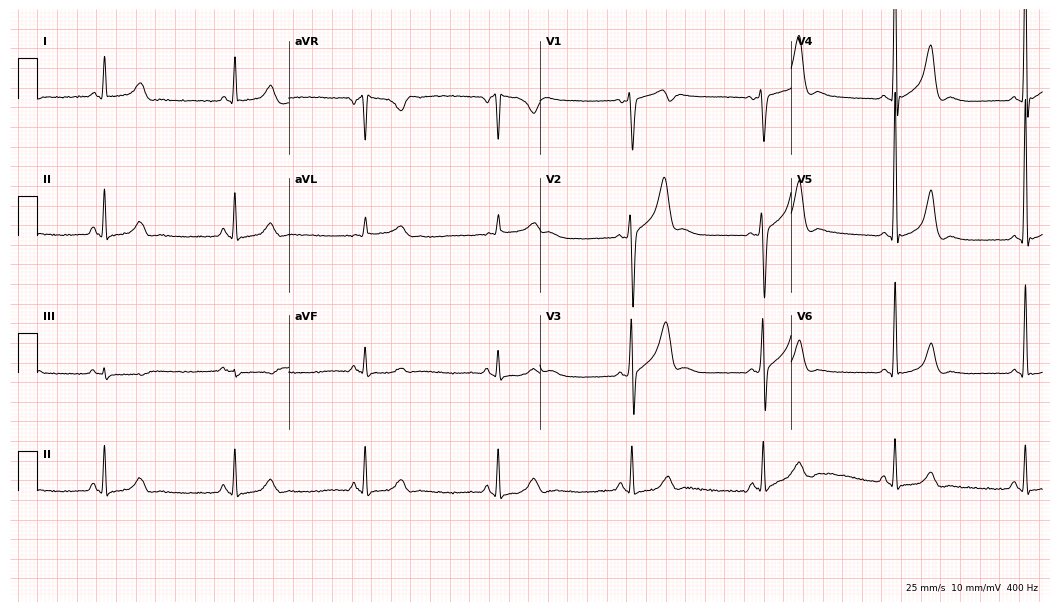
ECG (10.2-second recording at 400 Hz) — a 74-year-old male. Findings include sinus bradycardia (a sinus rate of 50 beats per minute or less).